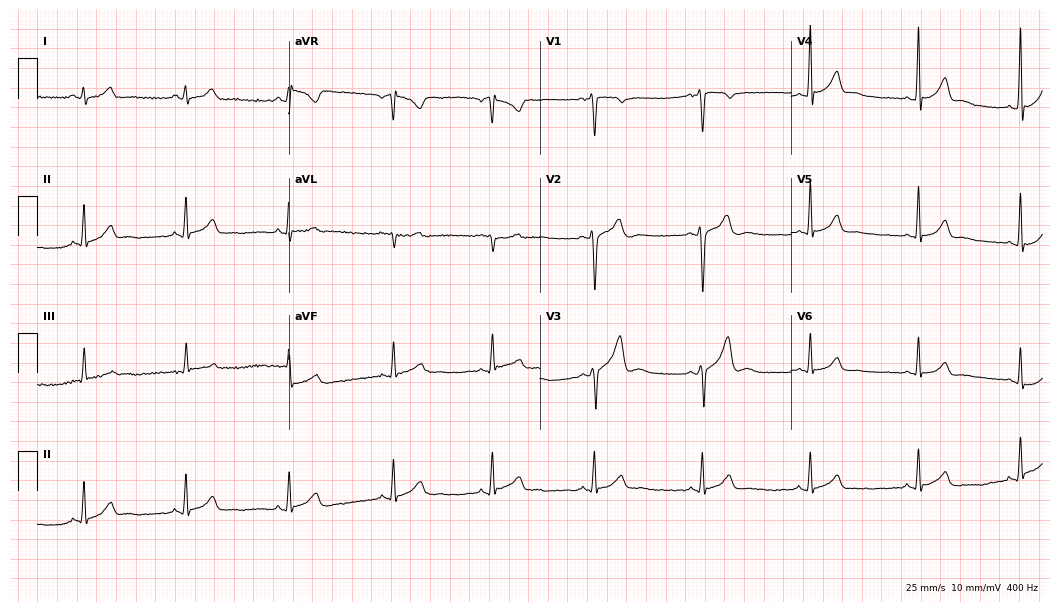
ECG (10.2-second recording at 400 Hz) — a 27-year-old man. Labelled as a normal ECG.